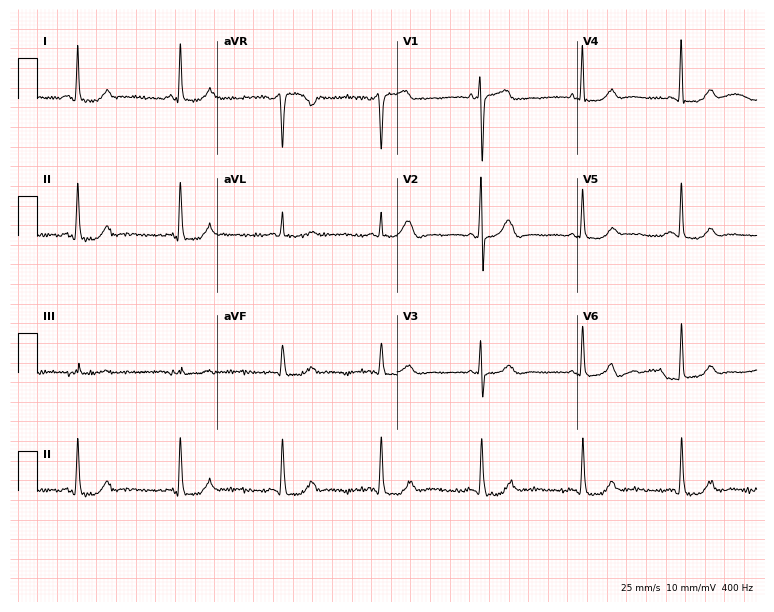
Resting 12-lead electrocardiogram (7.3-second recording at 400 Hz). Patient: a 74-year-old woman. None of these six findings is recorded: first-degree AV block, right bundle branch block, left bundle branch block, sinus bradycardia, atrial fibrillation, sinus tachycardia.